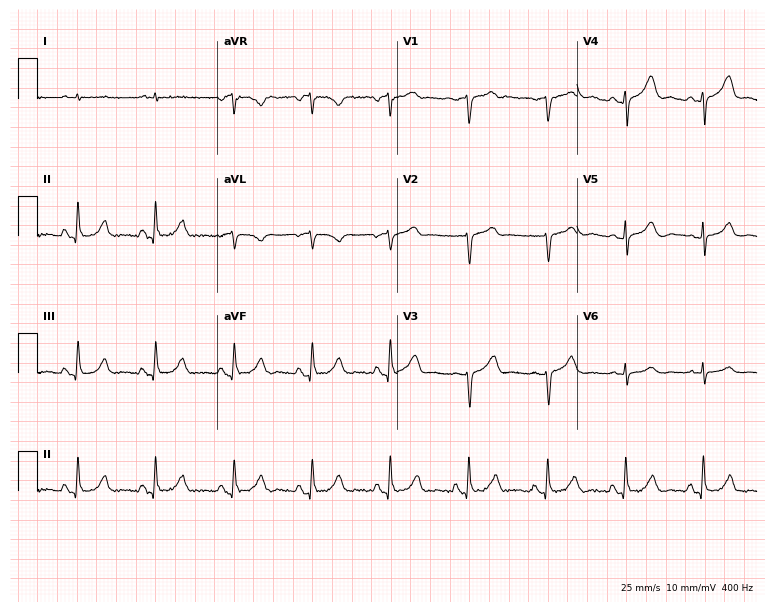
ECG (7.3-second recording at 400 Hz) — a woman, 83 years old. Labelled as a normal ECG.